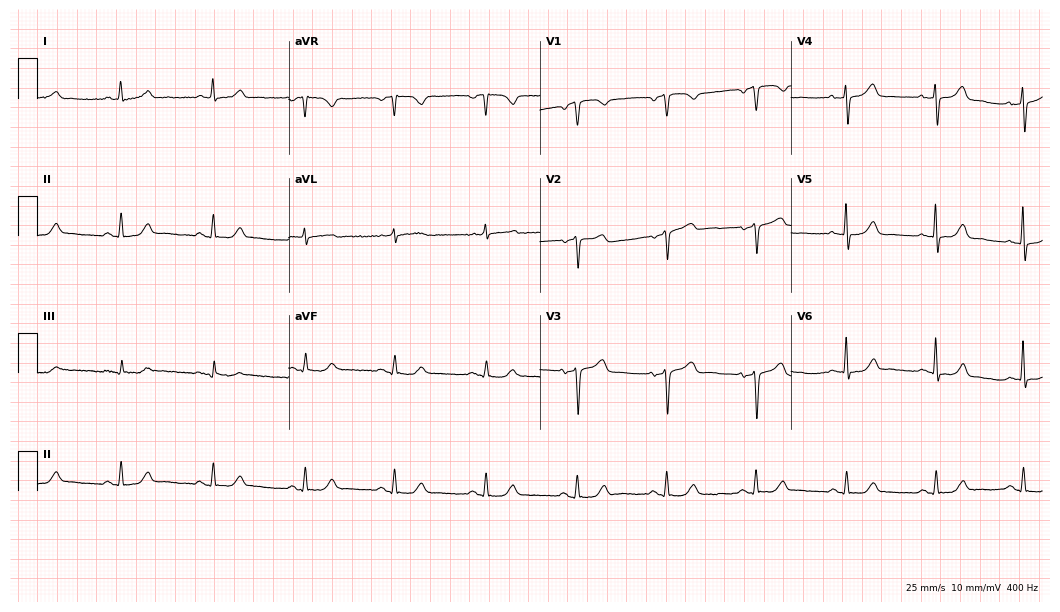
Resting 12-lead electrocardiogram (10.2-second recording at 400 Hz). Patient: a woman, 71 years old. None of these six findings is recorded: first-degree AV block, right bundle branch block, left bundle branch block, sinus bradycardia, atrial fibrillation, sinus tachycardia.